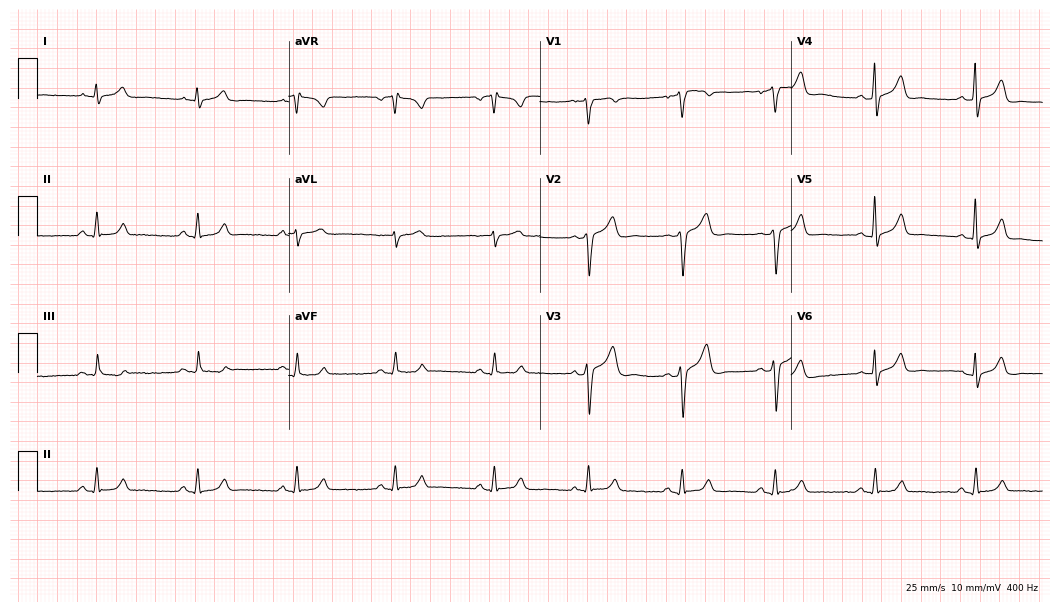
ECG — a male patient, 54 years old. Labelled as a normal ECG.